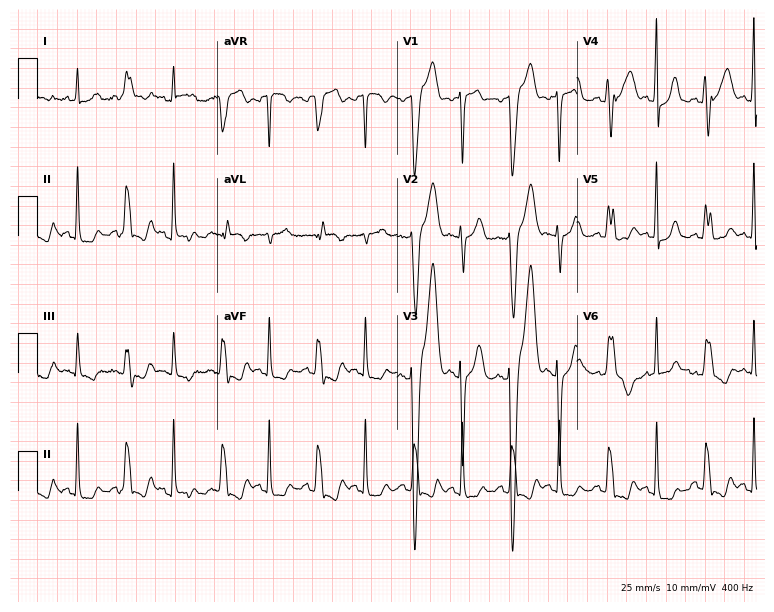
Electrocardiogram, a female patient, 68 years old. Interpretation includes sinus tachycardia (a sinus rate of 100 beats per minute or more).